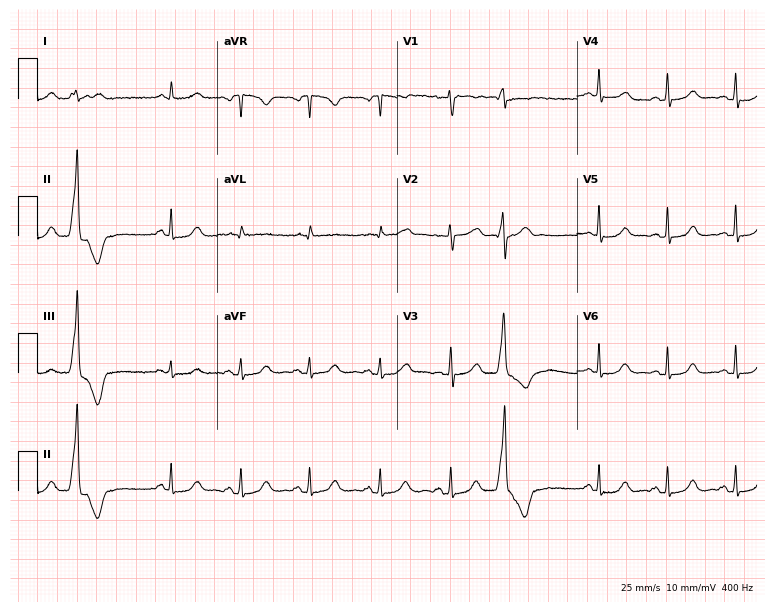
12-lead ECG (7.3-second recording at 400 Hz) from a female patient, 35 years old. Screened for six findings — first-degree AV block, right bundle branch block (RBBB), left bundle branch block (LBBB), sinus bradycardia, atrial fibrillation (AF), sinus tachycardia — none is recorded. Other findings, if any, are not listed.